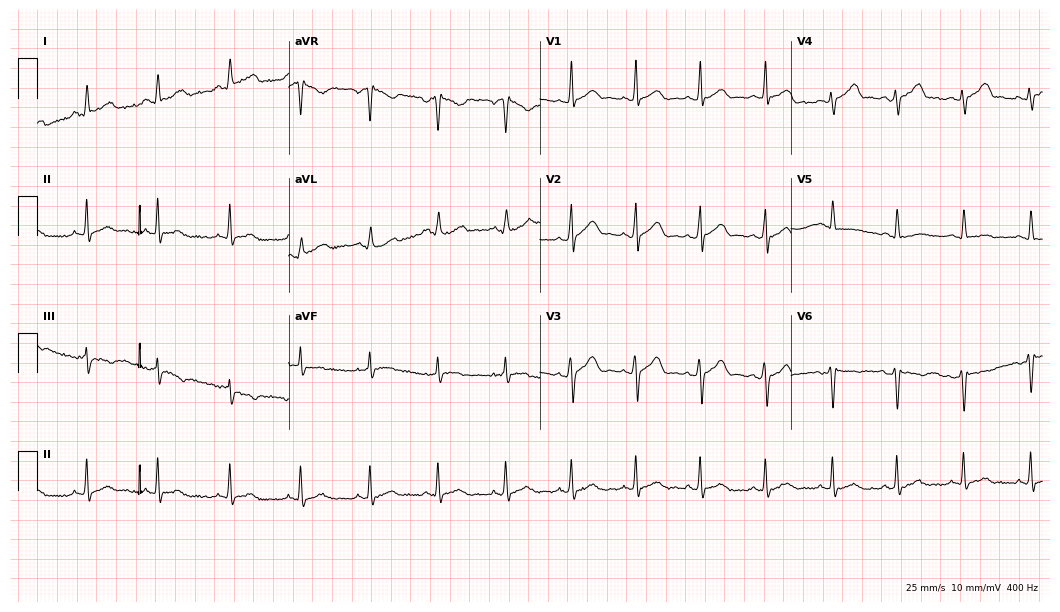
Standard 12-lead ECG recorded from a man, 20 years old. None of these six findings is recorded: first-degree AV block, right bundle branch block, left bundle branch block, sinus bradycardia, atrial fibrillation, sinus tachycardia.